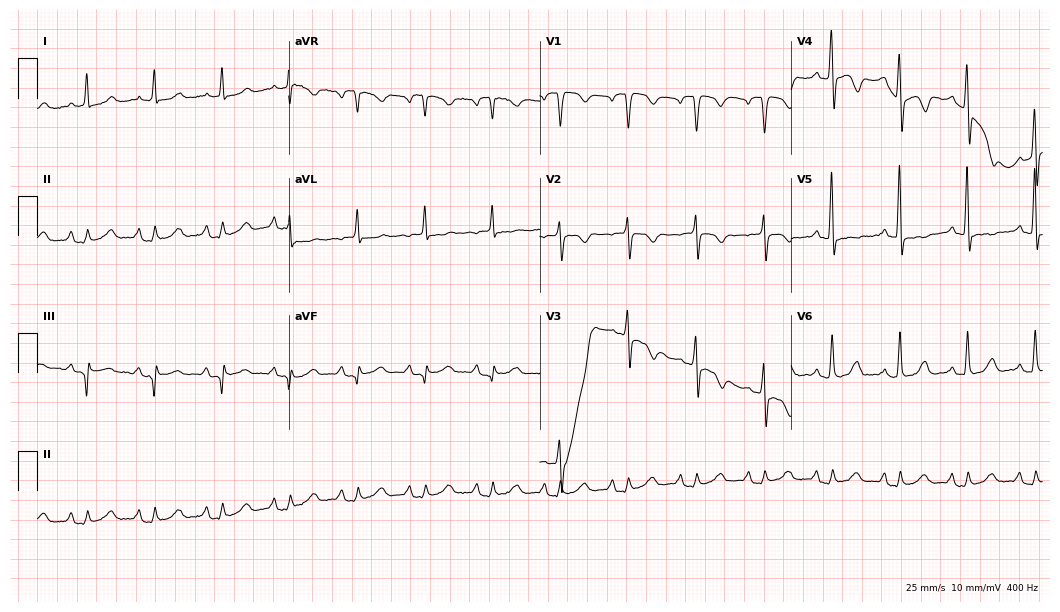
12-lead ECG from an 80-year-old male. No first-degree AV block, right bundle branch block, left bundle branch block, sinus bradycardia, atrial fibrillation or sinus tachycardia recorded for this tracing.